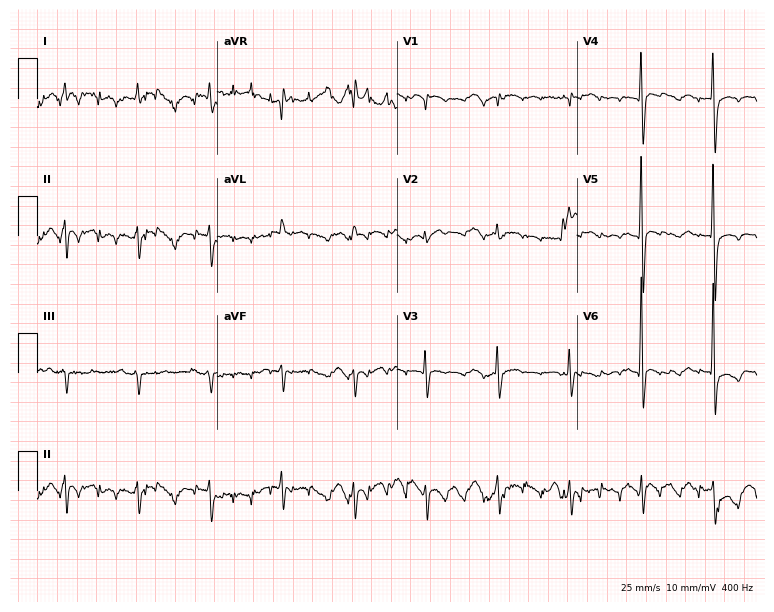
Resting 12-lead electrocardiogram. Patient: an 84-year-old man. None of these six findings is recorded: first-degree AV block, right bundle branch block (RBBB), left bundle branch block (LBBB), sinus bradycardia, atrial fibrillation (AF), sinus tachycardia.